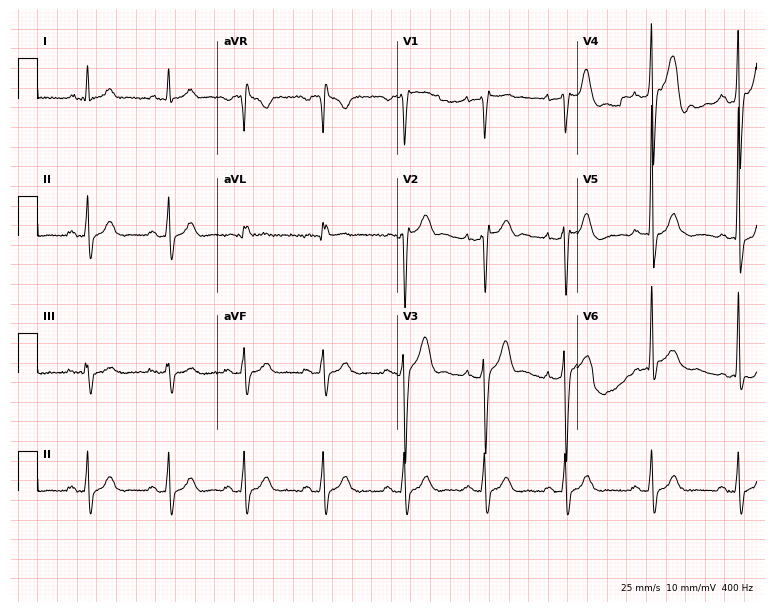
Resting 12-lead electrocardiogram (7.3-second recording at 400 Hz). Patient: a male, 37 years old. None of these six findings is recorded: first-degree AV block, right bundle branch block, left bundle branch block, sinus bradycardia, atrial fibrillation, sinus tachycardia.